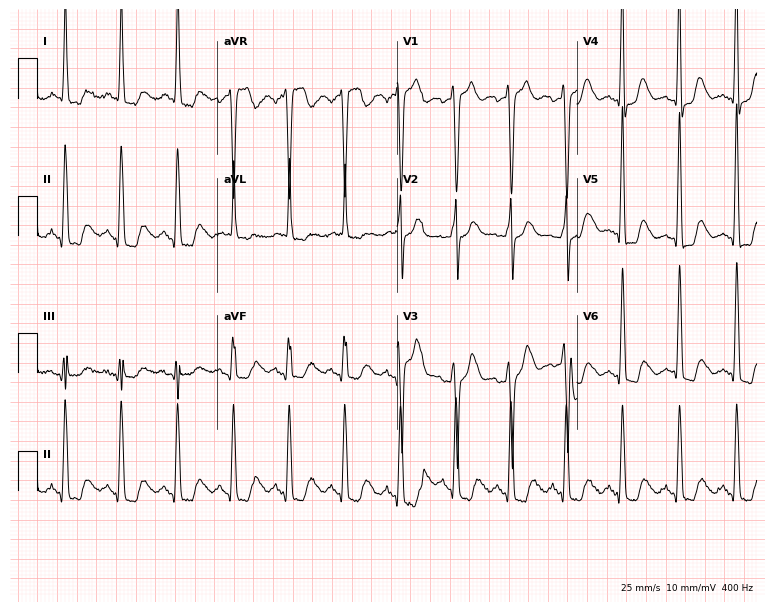
12-lead ECG from a 52-year-old female patient (7.3-second recording at 400 Hz). Shows sinus tachycardia (a sinus rate of 100 beats per minute or more).